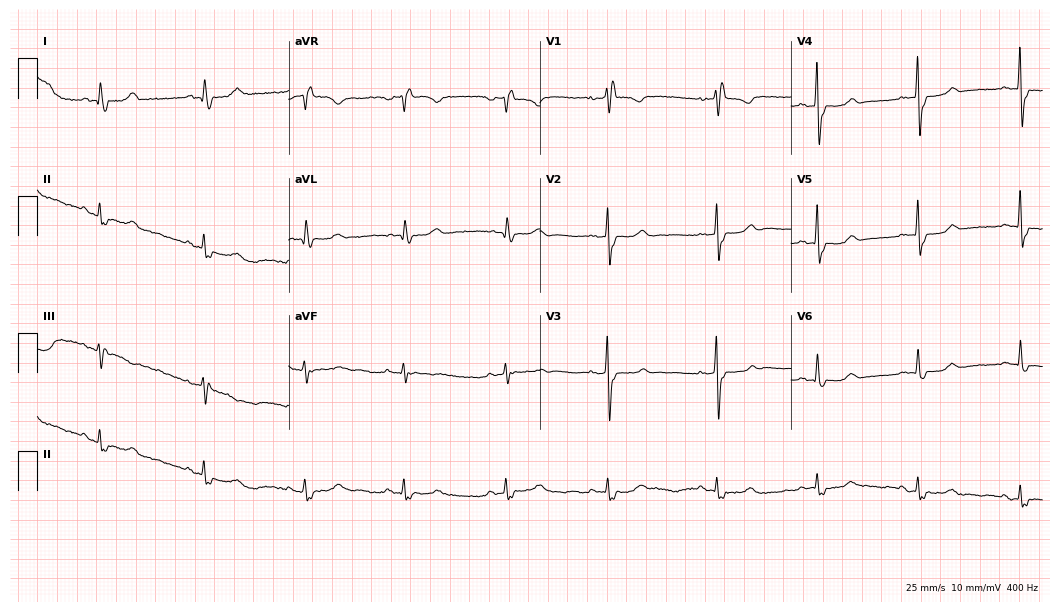
12-lead ECG (10.2-second recording at 400 Hz) from a 69-year-old female patient. Screened for six findings — first-degree AV block, right bundle branch block, left bundle branch block, sinus bradycardia, atrial fibrillation, sinus tachycardia — none is recorded. Only these six findings were labelled.